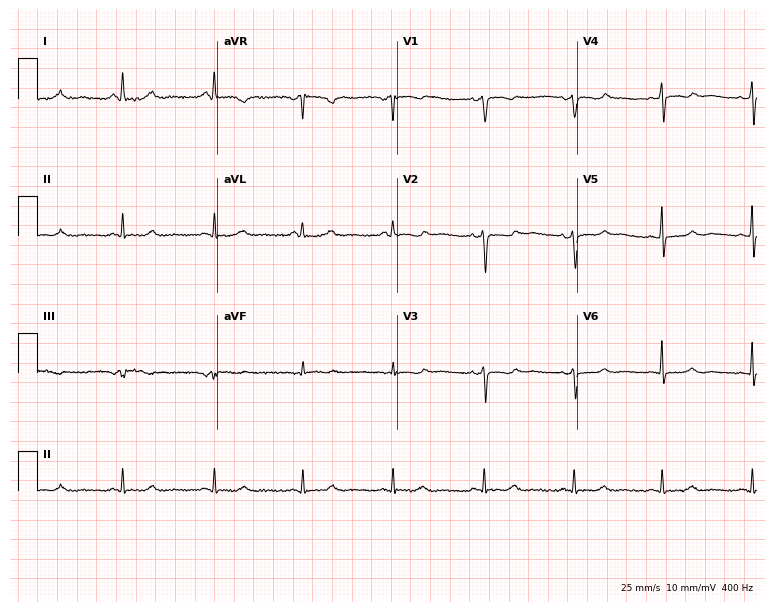
Standard 12-lead ECG recorded from a woman, 55 years old. None of these six findings is recorded: first-degree AV block, right bundle branch block (RBBB), left bundle branch block (LBBB), sinus bradycardia, atrial fibrillation (AF), sinus tachycardia. Findings outside these six are not listed.